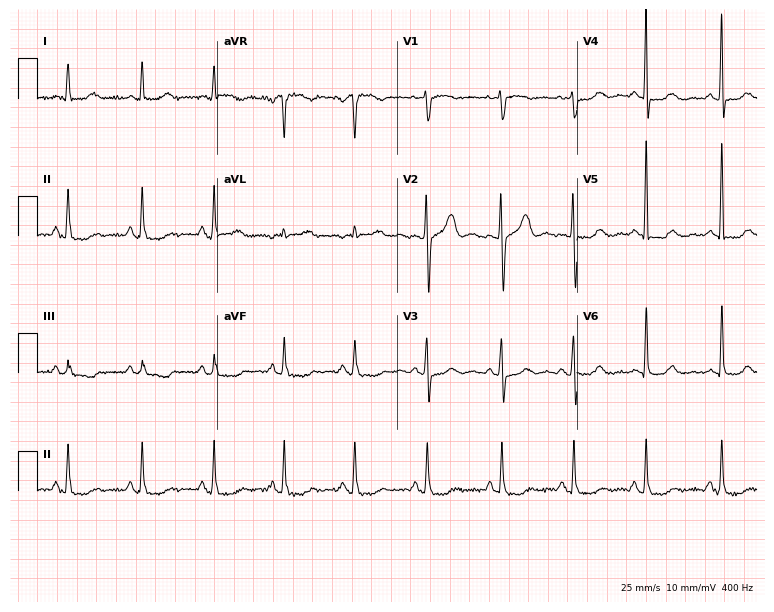
Standard 12-lead ECG recorded from a 44-year-old female patient. None of these six findings is recorded: first-degree AV block, right bundle branch block (RBBB), left bundle branch block (LBBB), sinus bradycardia, atrial fibrillation (AF), sinus tachycardia. Only these six findings were labelled.